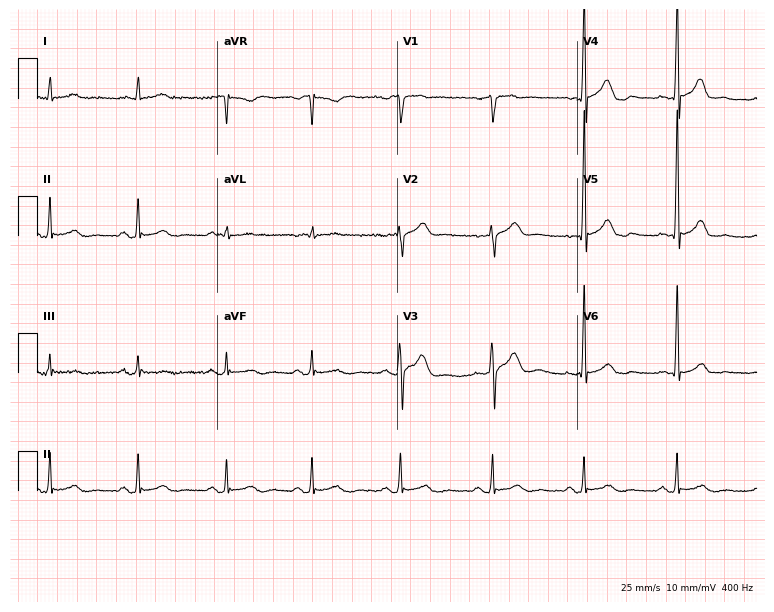
Standard 12-lead ECG recorded from a 63-year-old male patient (7.3-second recording at 400 Hz). None of these six findings is recorded: first-degree AV block, right bundle branch block, left bundle branch block, sinus bradycardia, atrial fibrillation, sinus tachycardia.